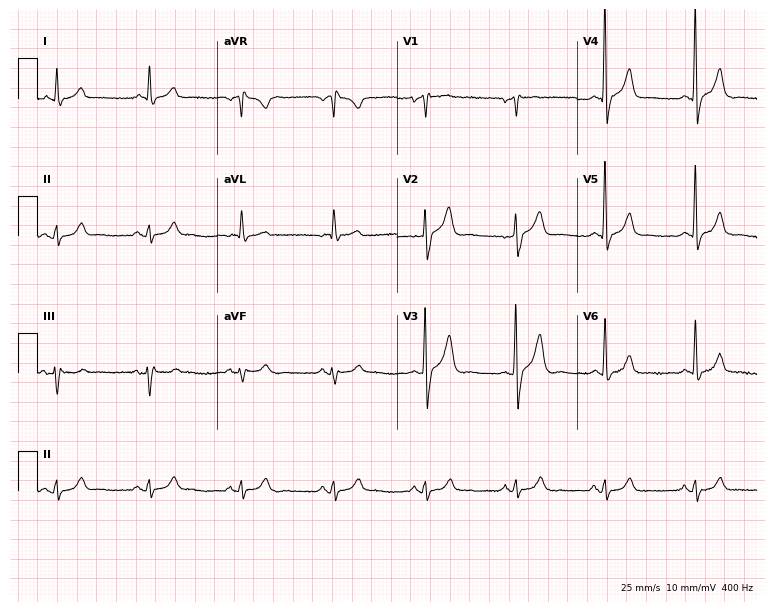
12-lead ECG from a male, 83 years old. Screened for six findings — first-degree AV block, right bundle branch block, left bundle branch block, sinus bradycardia, atrial fibrillation, sinus tachycardia — none is recorded. Only these six findings were labelled.